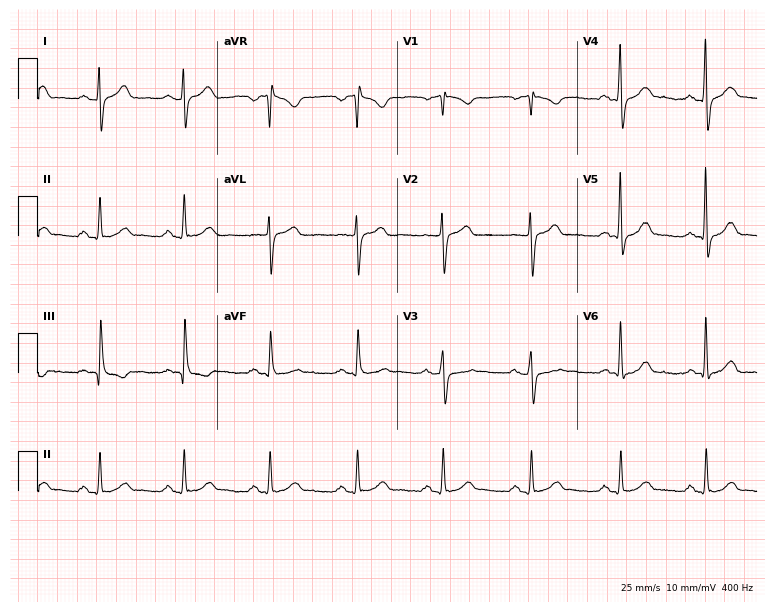
Standard 12-lead ECG recorded from a male patient, 66 years old. None of these six findings is recorded: first-degree AV block, right bundle branch block (RBBB), left bundle branch block (LBBB), sinus bradycardia, atrial fibrillation (AF), sinus tachycardia.